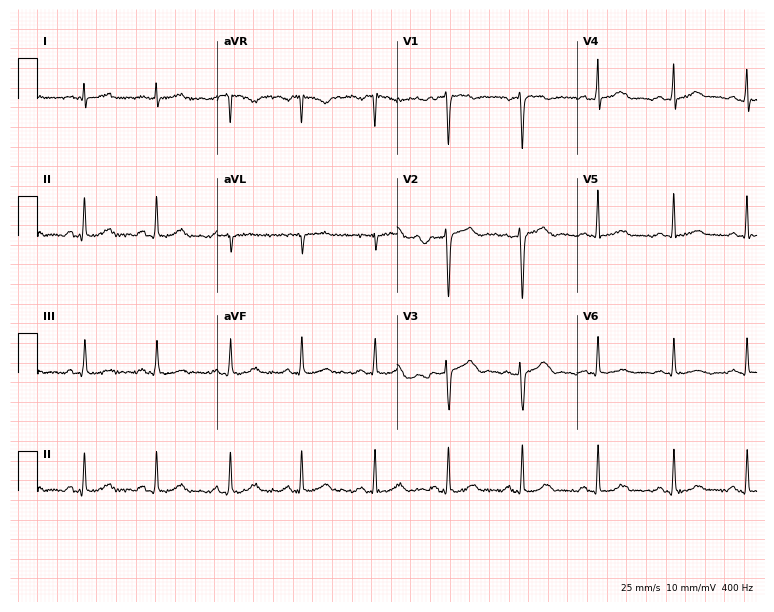
12-lead ECG (7.3-second recording at 400 Hz) from a 41-year-old male. Screened for six findings — first-degree AV block, right bundle branch block, left bundle branch block, sinus bradycardia, atrial fibrillation, sinus tachycardia — none is recorded.